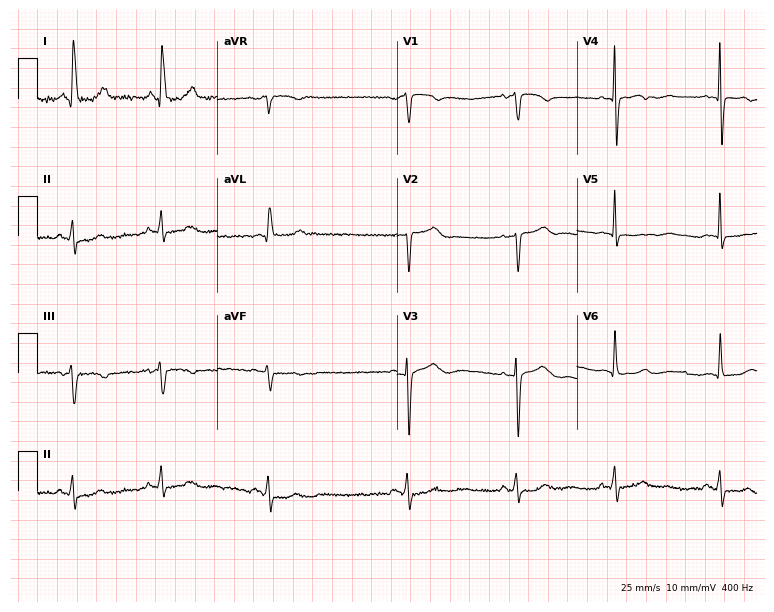
Standard 12-lead ECG recorded from a female patient, 85 years old. None of these six findings is recorded: first-degree AV block, right bundle branch block (RBBB), left bundle branch block (LBBB), sinus bradycardia, atrial fibrillation (AF), sinus tachycardia. Only these six findings were labelled.